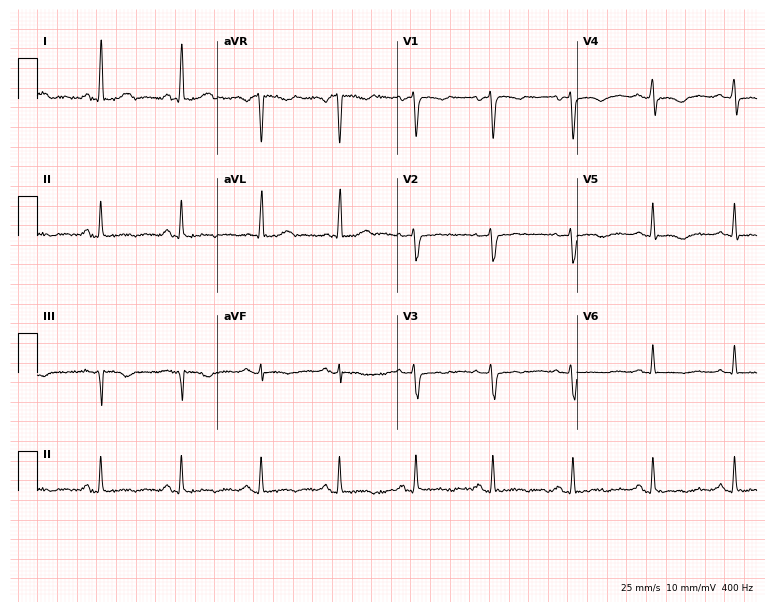
Electrocardiogram, a 48-year-old female. Of the six screened findings (first-degree AV block, right bundle branch block, left bundle branch block, sinus bradycardia, atrial fibrillation, sinus tachycardia), none is recorded.